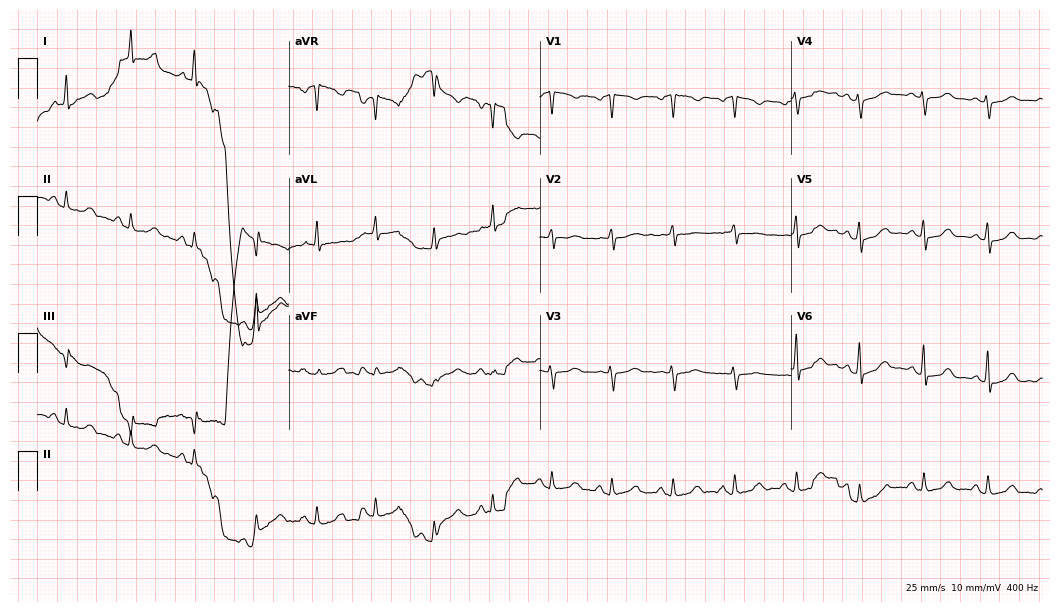
Standard 12-lead ECG recorded from a 66-year-old woman. None of these six findings is recorded: first-degree AV block, right bundle branch block, left bundle branch block, sinus bradycardia, atrial fibrillation, sinus tachycardia.